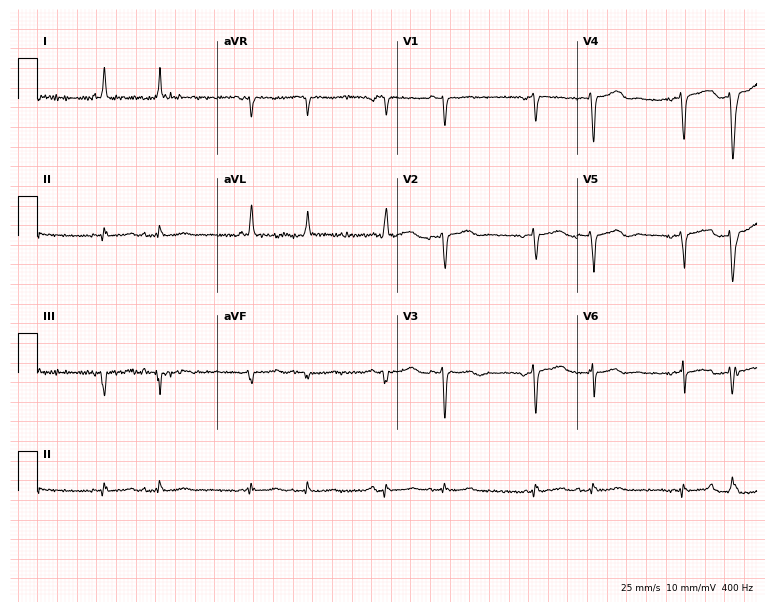
Standard 12-lead ECG recorded from a female, 82 years old. None of these six findings is recorded: first-degree AV block, right bundle branch block, left bundle branch block, sinus bradycardia, atrial fibrillation, sinus tachycardia. Findings outside these six are not listed.